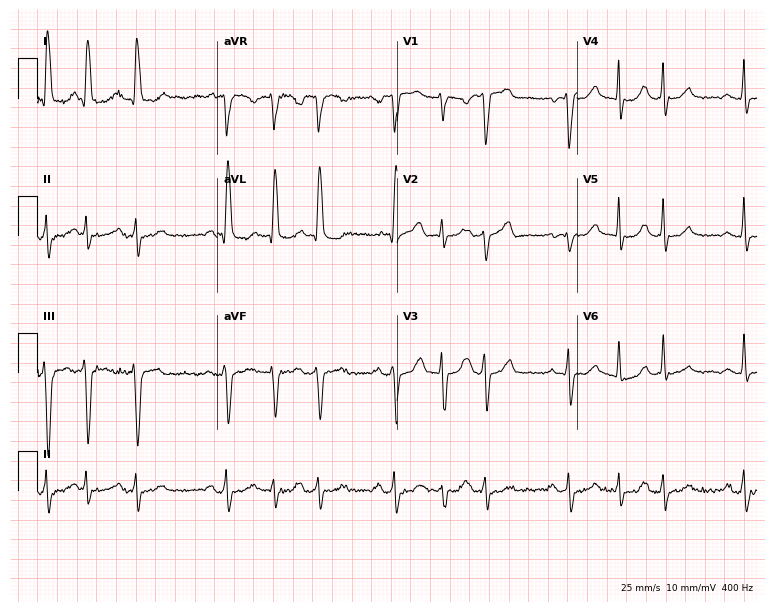
Standard 12-lead ECG recorded from a female patient, 77 years old. The tracing shows atrial fibrillation.